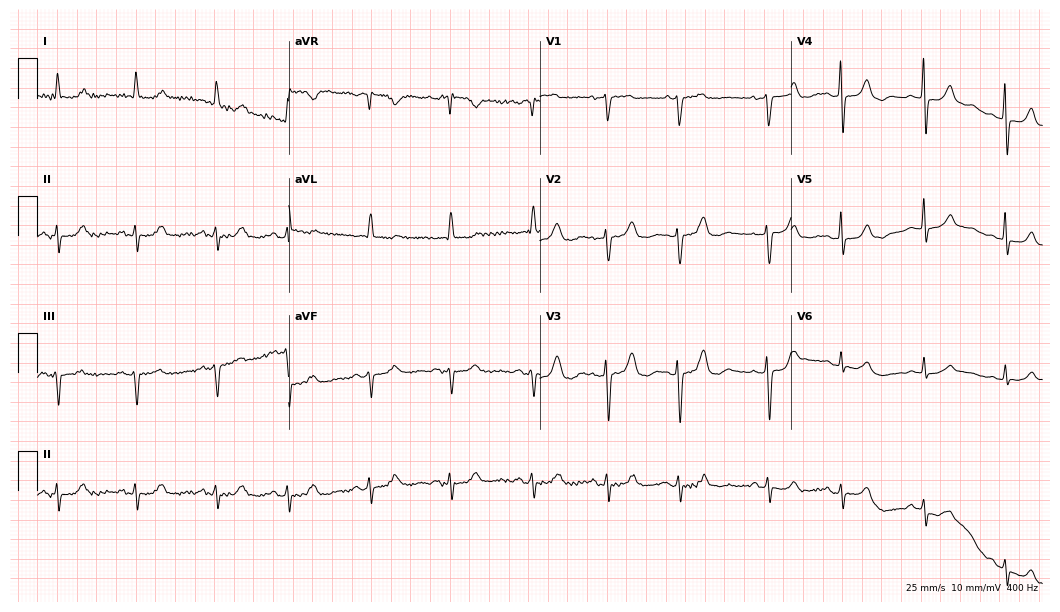
Standard 12-lead ECG recorded from an 82-year-old female patient (10.2-second recording at 400 Hz). None of these six findings is recorded: first-degree AV block, right bundle branch block (RBBB), left bundle branch block (LBBB), sinus bradycardia, atrial fibrillation (AF), sinus tachycardia.